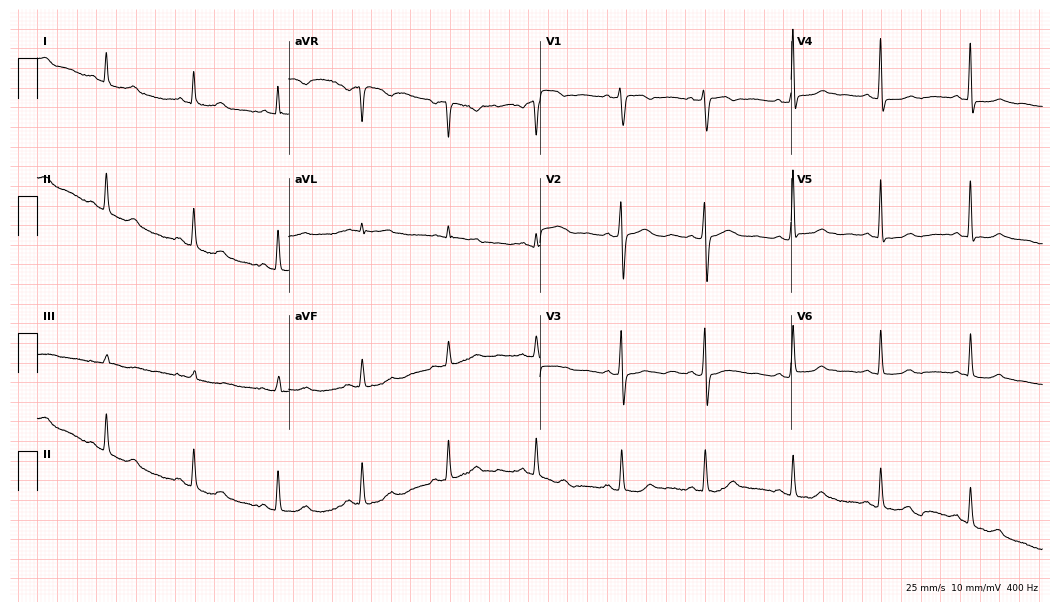
ECG (10.2-second recording at 400 Hz) — a 71-year-old woman. Screened for six findings — first-degree AV block, right bundle branch block (RBBB), left bundle branch block (LBBB), sinus bradycardia, atrial fibrillation (AF), sinus tachycardia — none is recorded. Only these six findings were labelled.